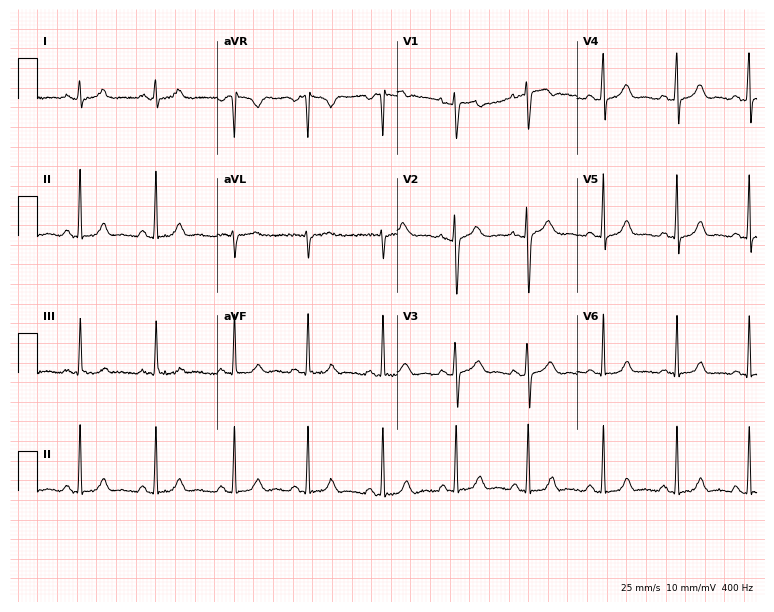
ECG (7.3-second recording at 400 Hz) — a woman, 22 years old. Labelled as a normal ECG.